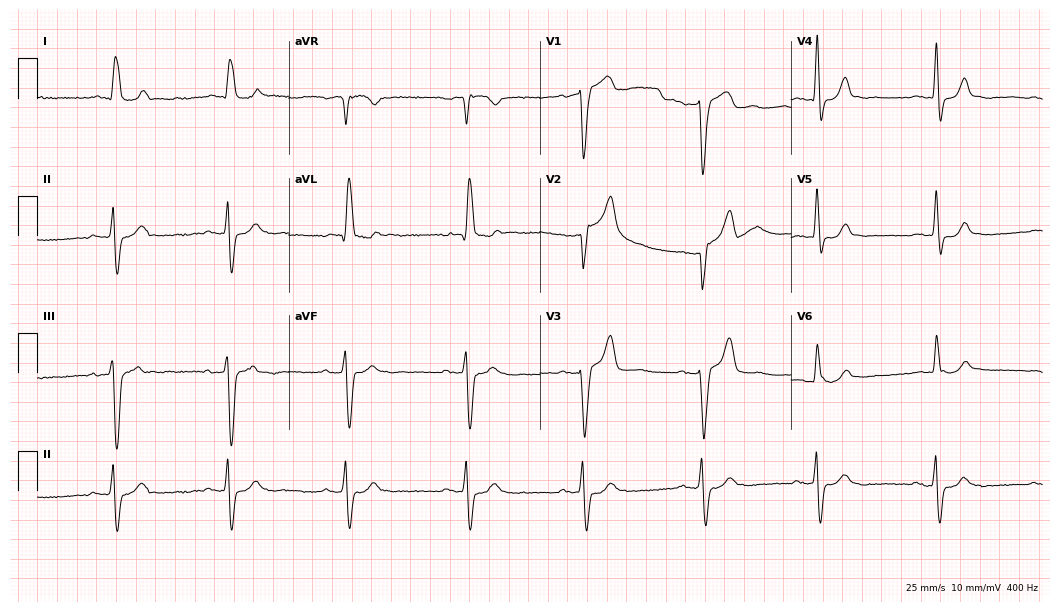
12-lead ECG from a 79-year-old female patient (10.2-second recording at 400 Hz). Shows left bundle branch block.